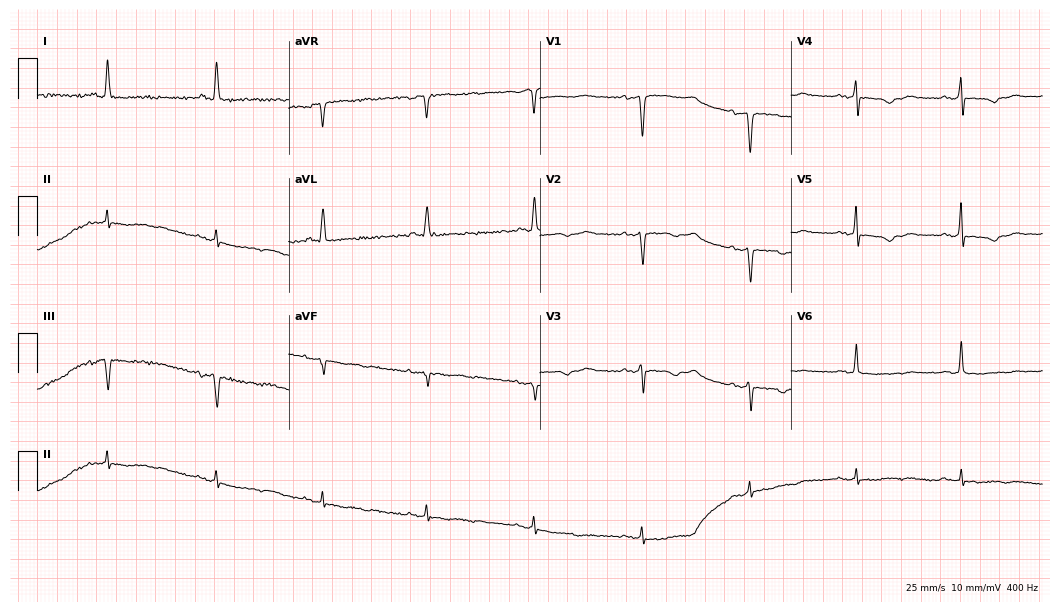
Resting 12-lead electrocardiogram. Patient: a female, 70 years old. None of these six findings is recorded: first-degree AV block, right bundle branch block (RBBB), left bundle branch block (LBBB), sinus bradycardia, atrial fibrillation (AF), sinus tachycardia. Findings outside these six are not listed.